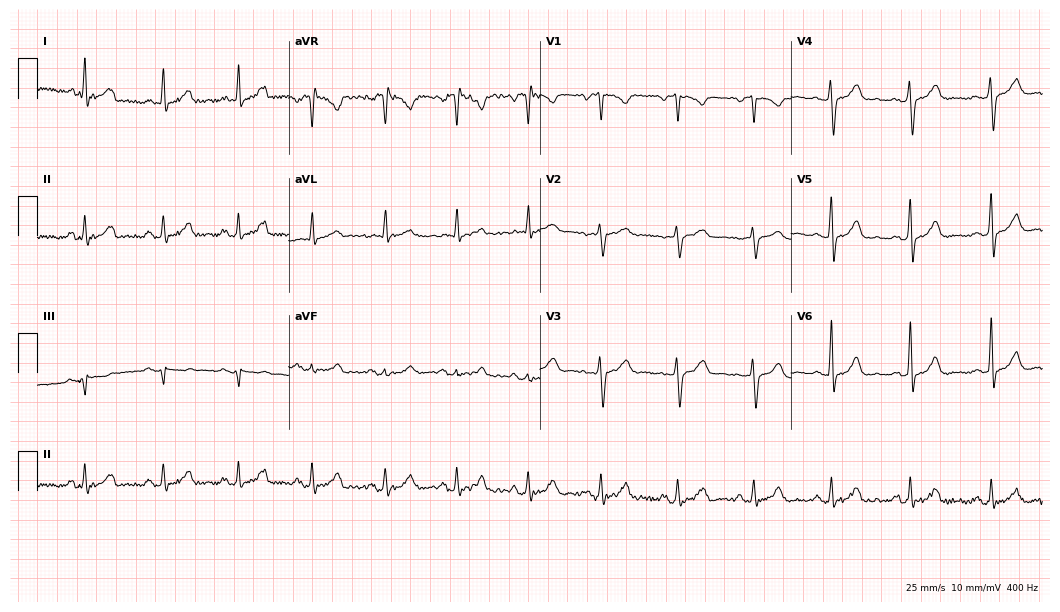
Resting 12-lead electrocardiogram. Patient: a woman, 56 years old. Read as a normal ECG.